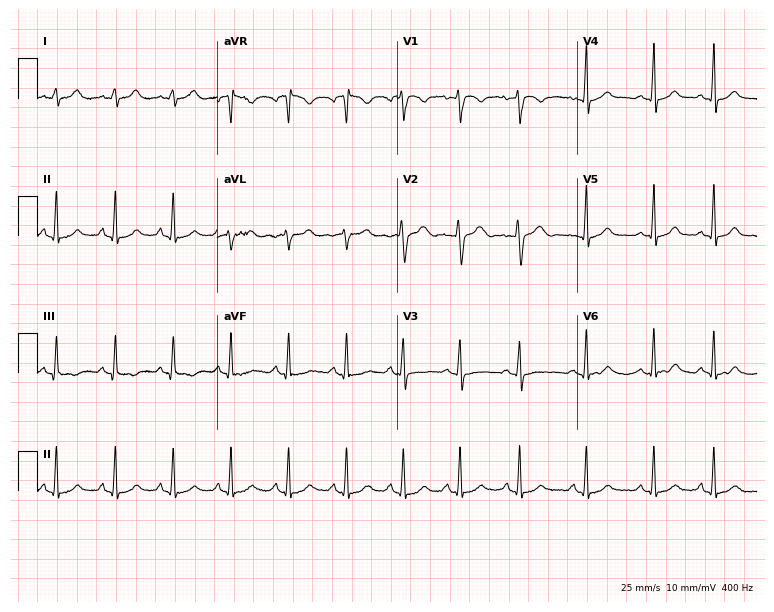
Electrocardiogram (7.3-second recording at 400 Hz), a female patient, 19 years old. Overall reading on record: normal ECG.